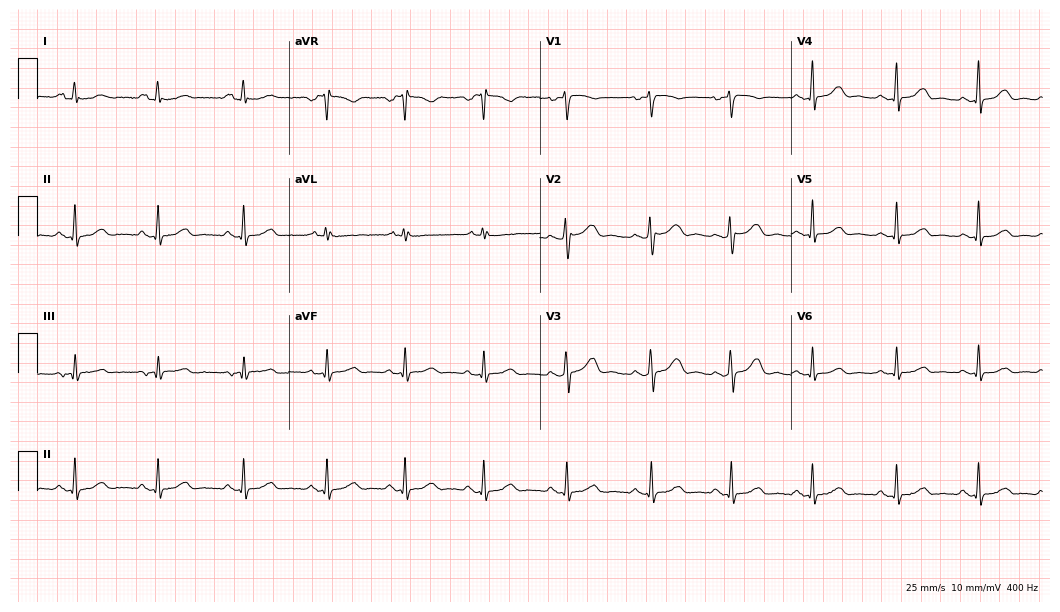
12-lead ECG (10.2-second recording at 400 Hz) from a female patient, 47 years old. Labelled as a normal ECG.